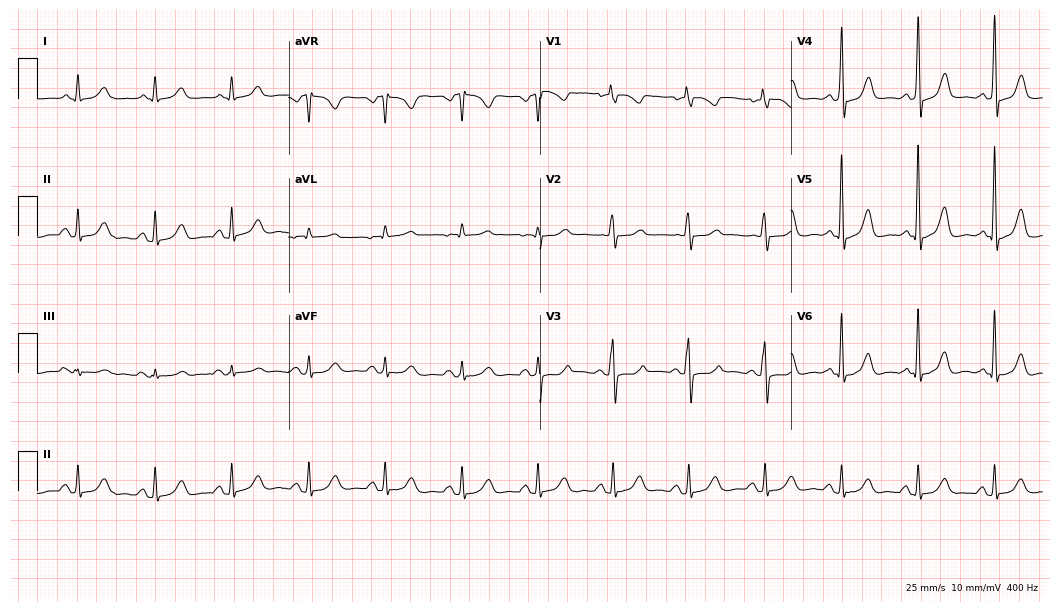
ECG (10.2-second recording at 400 Hz) — a woman, 66 years old. Labelled as a normal ECG.